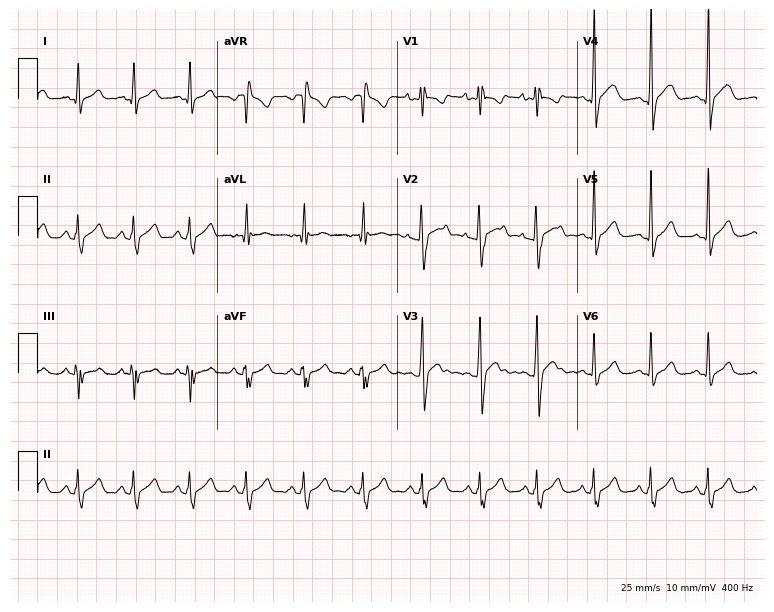
12-lead ECG from a 17-year-old man. Screened for six findings — first-degree AV block, right bundle branch block (RBBB), left bundle branch block (LBBB), sinus bradycardia, atrial fibrillation (AF), sinus tachycardia — none is recorded.